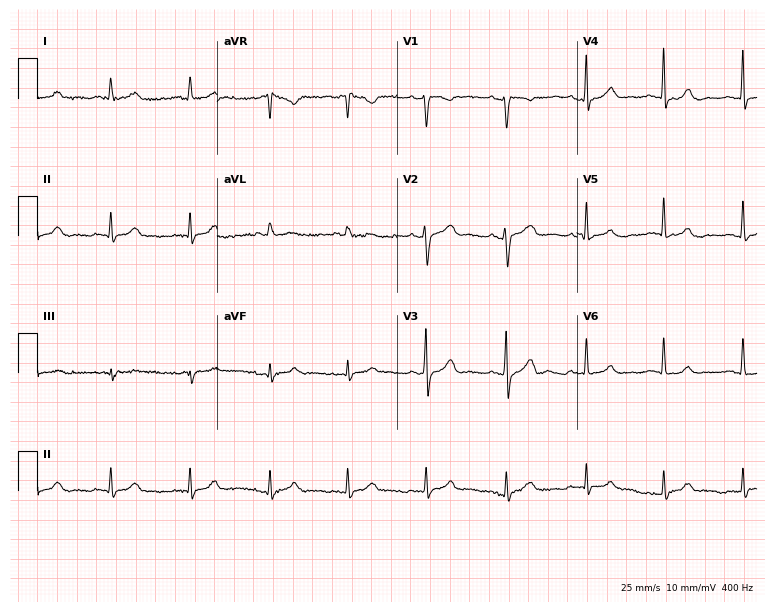
ECG — a 66-year-old female patient. Screened for six findings — first-degree AV block, right bundle branch block, left bundle branch block, sinus bradycardia, atrial fibrillation, sinus tachycardia — none is recorded.